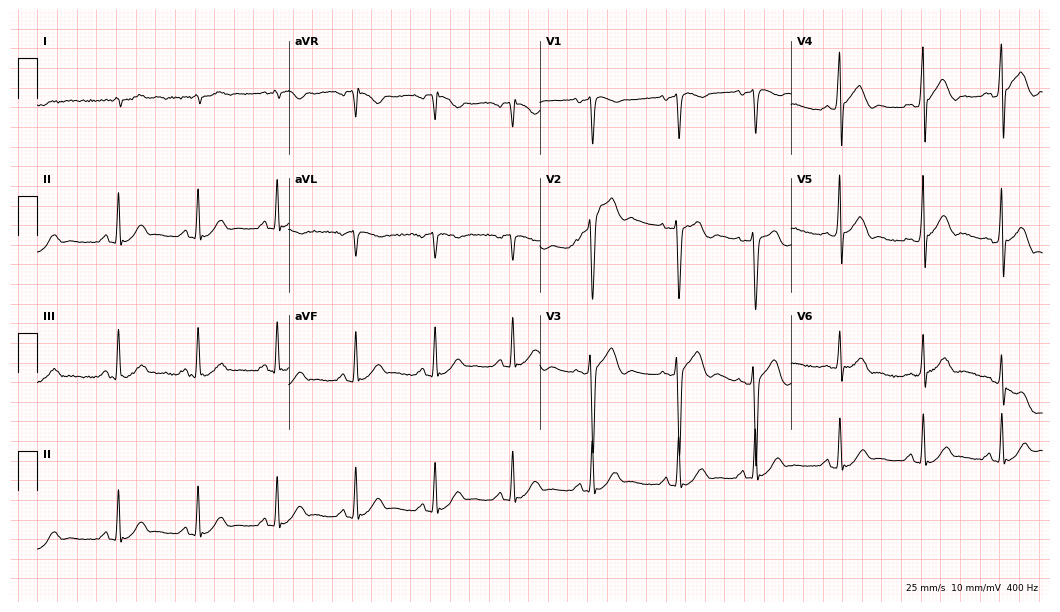
12-lead ECG from a 26-year-old man. Screened for six findings — first-degree AV block, right bundle branch block, left bundle branch block, sinus bradycardia, atrial fibrillation, sinus tachycardia — none is recorded. Only these six findings were labelled.